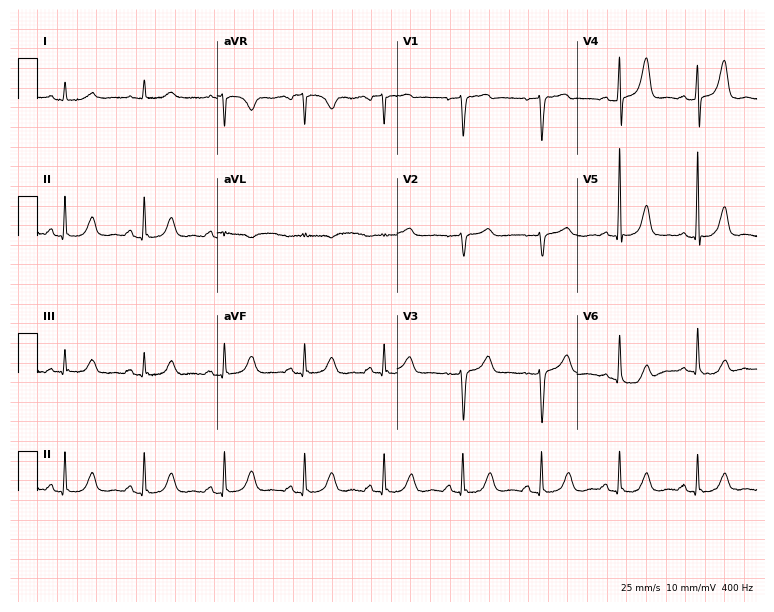
Resting 12-lead electrocardiogram. Patient: a 73-year-old female. None of these six findings is recorded: first-degree AV block, right bundle branch block, left bundle branch block, sinus bradycardia, atrial fibrillation, sinus tachycardia.